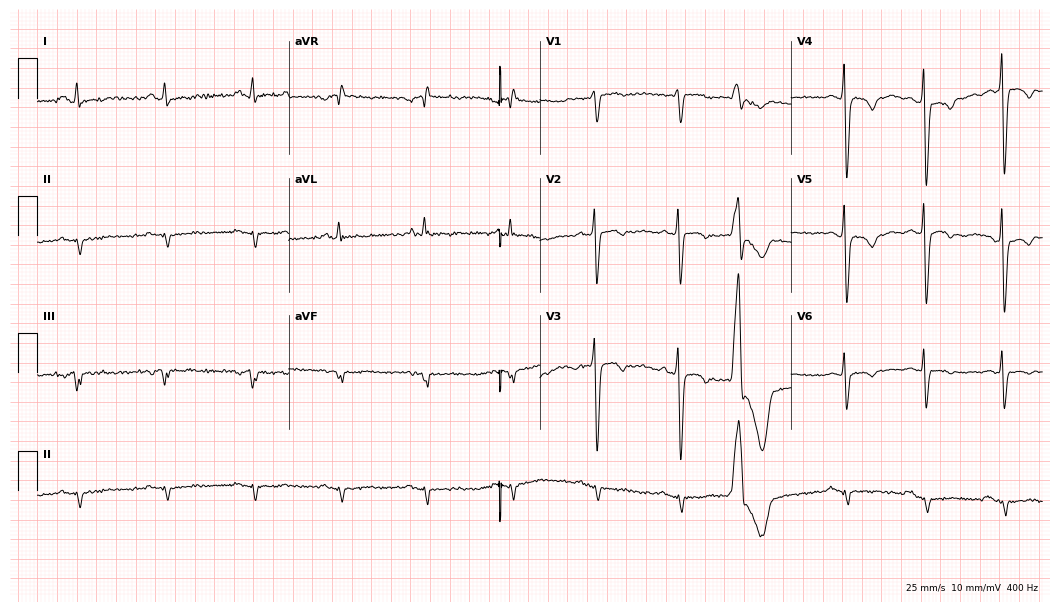
Standard 12-lead ECG recorded from a male, 52 years old (10.2-second recording at 400 Hz). None of these six findings is recorded: first-degree AV block, right bundle branch block (RBBB), left bundle branch block (LBBB), sinus bradycardia, atrial fibrillation (AF), sinus tachycardia. Other findings, if any, are not listed.